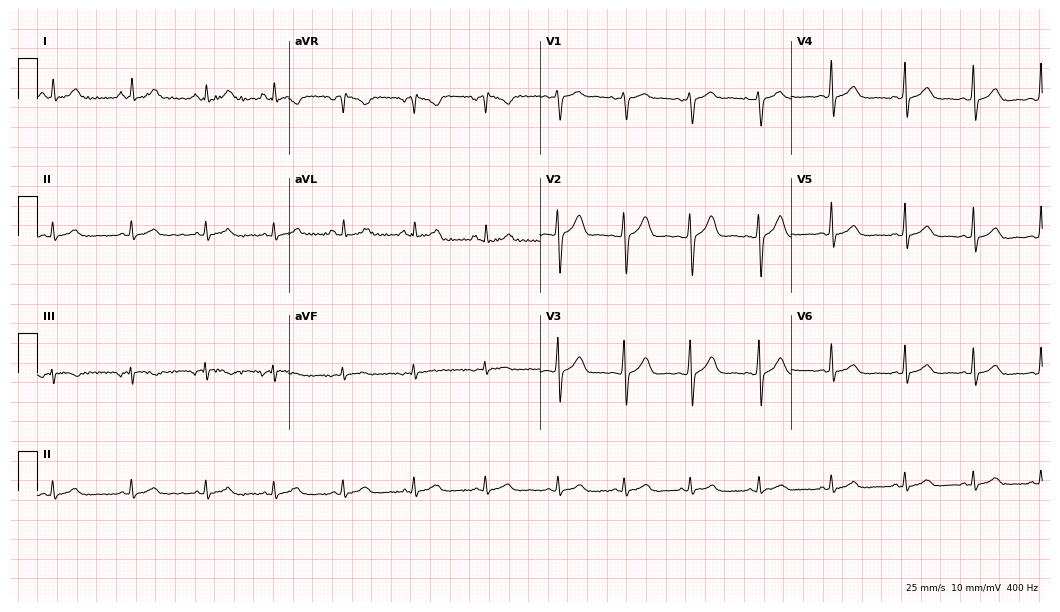
12-lead ECG (10.2-second recording at 400 Hz) from a female patient, 34 years old. Screened for six findings — first-degree AV block, right bundle branch block, left bundle branch block, sinus bradycardia, atrial fibrillation, sinus tachycardia — none is recorded.